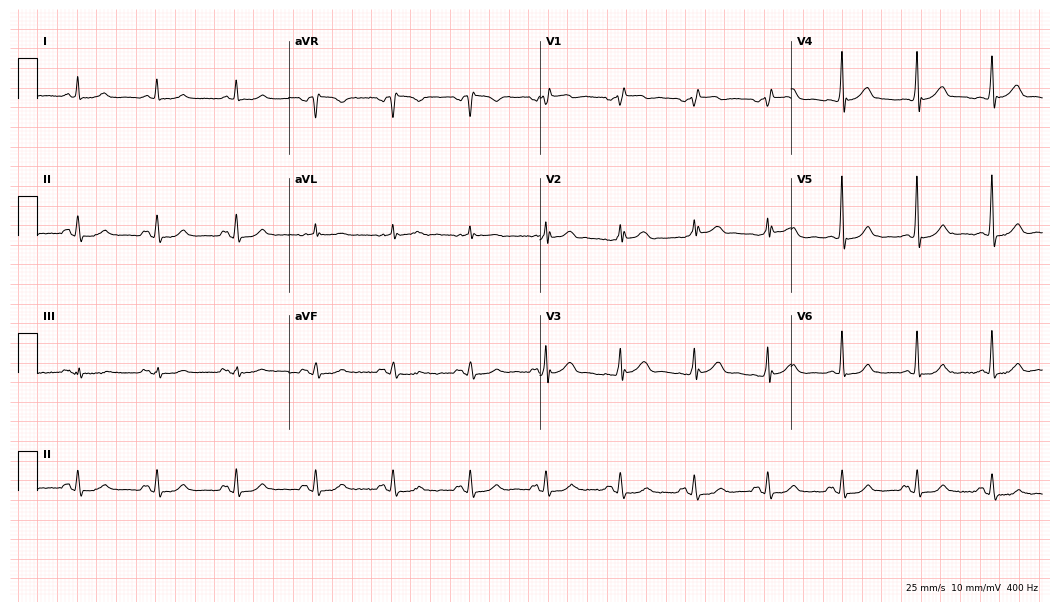
Resting 12-lead electrocardiogram (10.2-second recording at 400 Hz). Patient: a 62-year-old man. Read as a normal ECG.